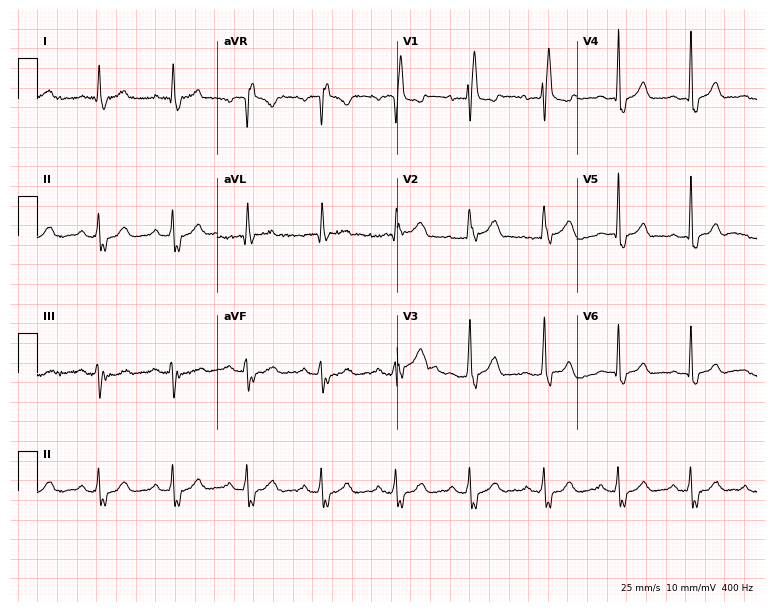
12-lead ECG from a 61-year-old male. Findings include first-degree AV block, right bundle branch block (RBBB).